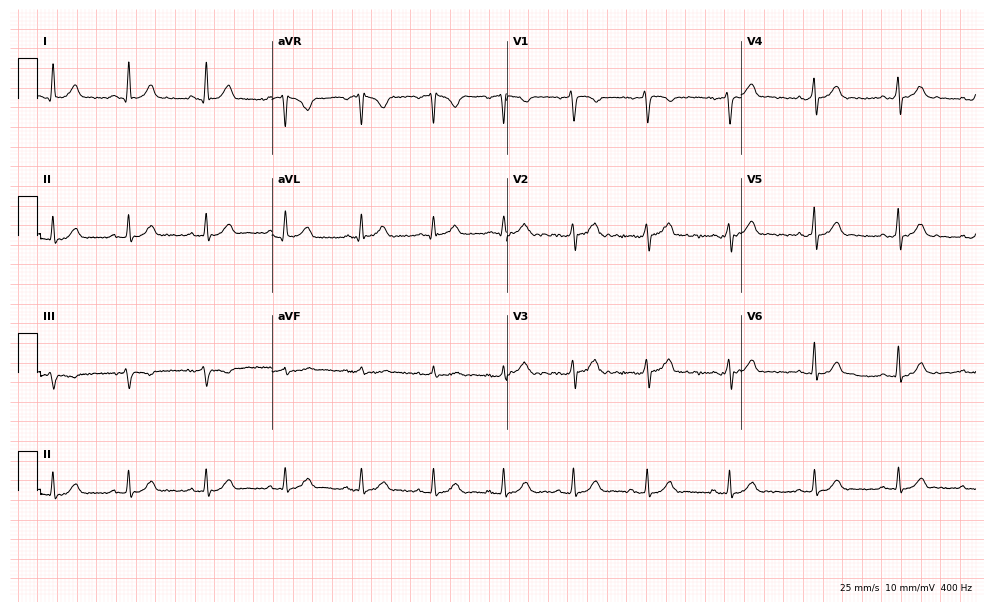
ECG (9.6-second recording at 400 Hz) — a 31-year-old male patient. Labelled as a normal ECG.